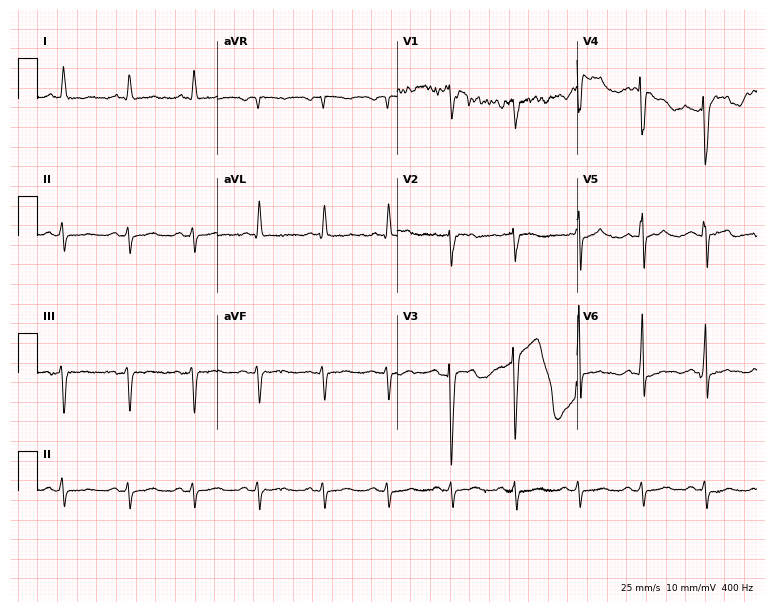
ECG (7.3-second recording at 400 Hz) — a male patient, 85 years old. Screened for six findings — first-degree AV block, right bundle branch block (RBBB), left bundle branch block (LBBB), sinus bradycardia, atrial fibrillation (AF), sinus tachycardia — none is recorded. Findings outside these six are not listed.